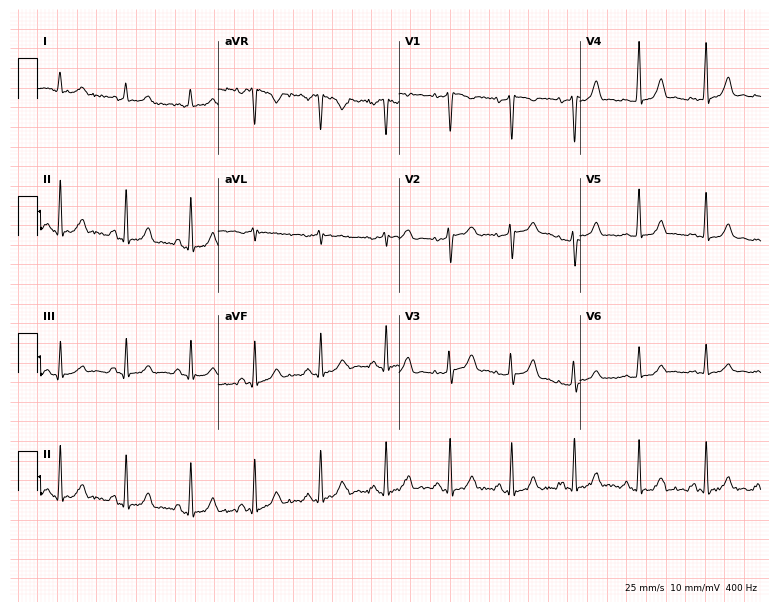
Standard 12-lead ECG recorded from a 34-year-old female (7.4-second recording at 400 Hz). Read as a normal ECG.